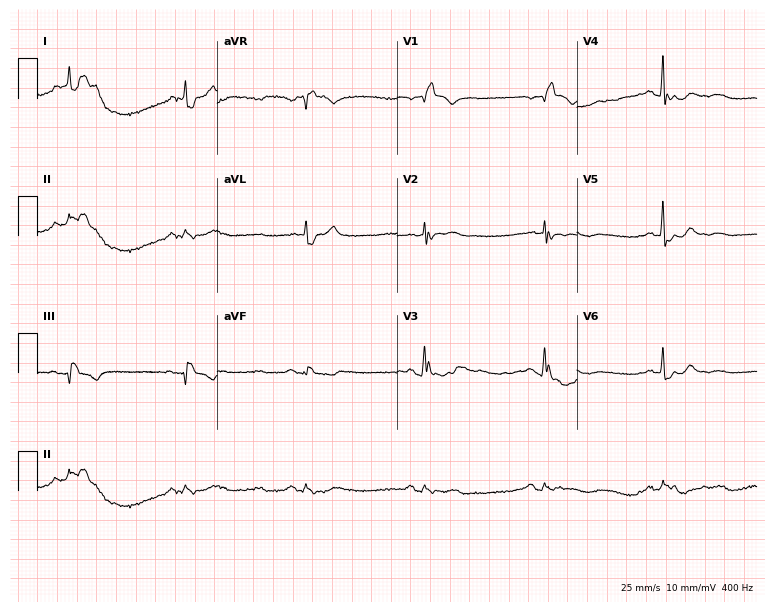
12-lead ECG from a male, 78 years old. Shows right bundle branch block, sinus bradycardia (a sinus rate of 50 beats per minute or less).